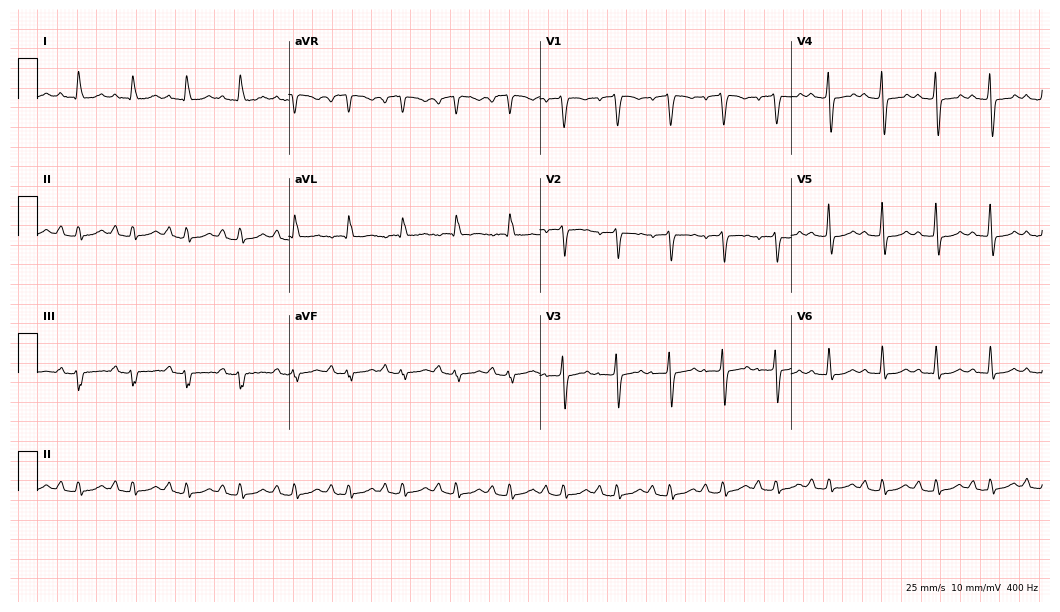
Electrocardiogram, an 80-year-old woman. Of the six screened findings (first-degree AV block, right bundle branch block, left bundle branch block, sinus bradycardia, atrial fibrillation, sinus tachycardia), none is recorded.